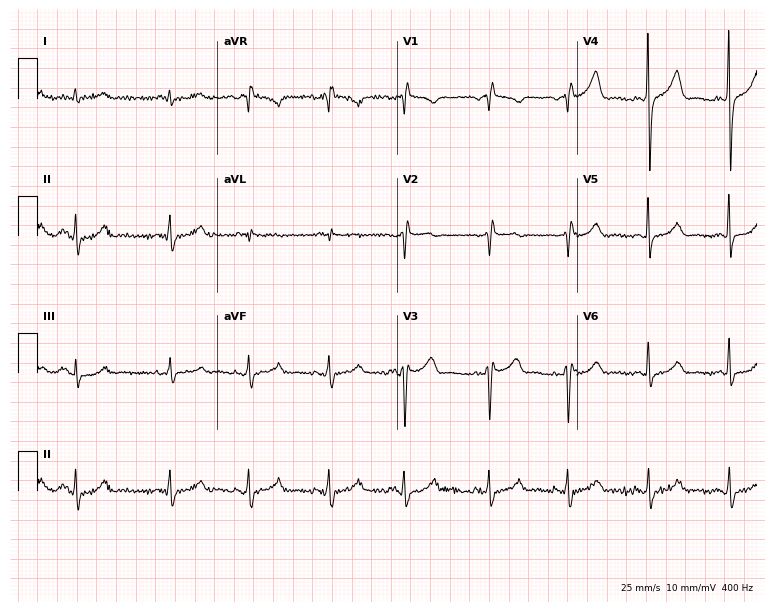
Standard 12-lead ECG recorded from a 60-year-old male. None of these six findings is recorded: first-degree AV block, right bundle branch block, left bundle branch block, sinus bradycardia, atrial fibrillation, sinus tachycardia. Findings outside these six are not listed.